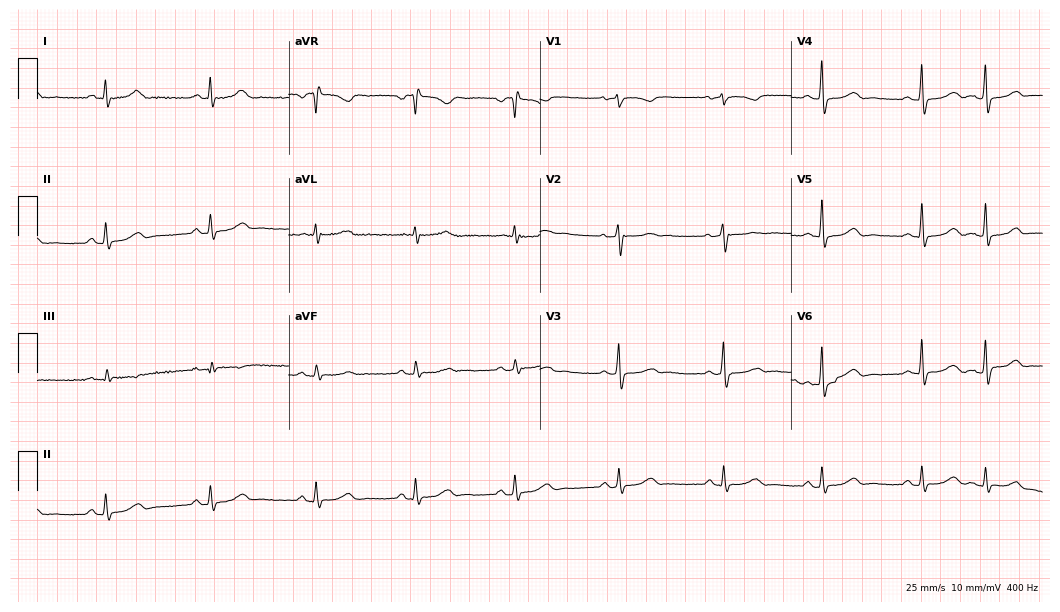
ECG (10.2-second recording at 400 Hz) — a 49-year-old woman. Screened for six findings — first-degree AV block, right bundle branch block, left bundle branch block, sinus bradycardia, atrial fibrillation, sinus tachycardia — none is recorded.